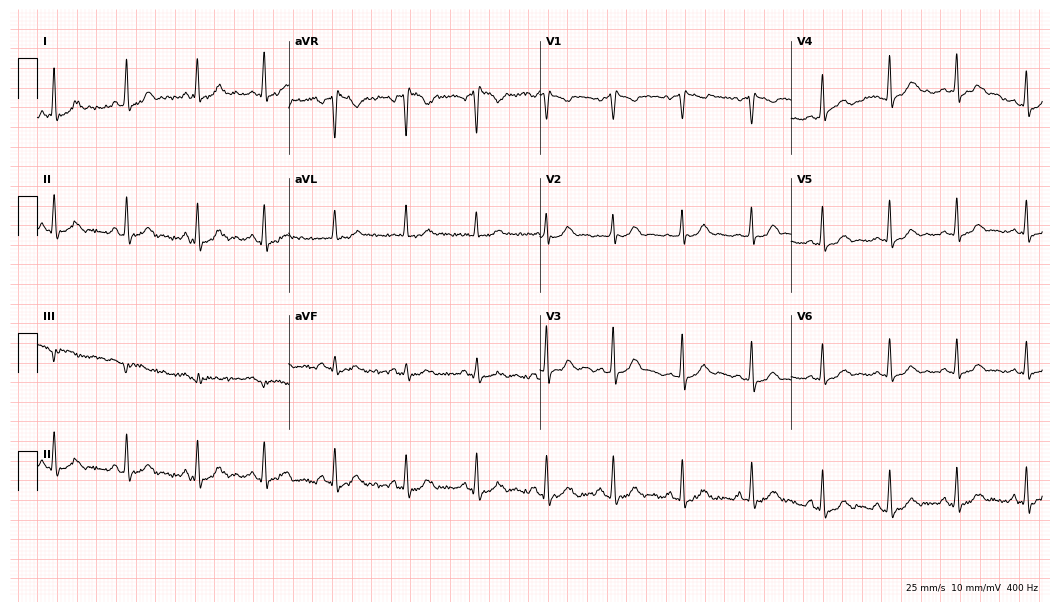
Resting 12-lead electrocardiogram. Patient: a 49-year-old female. None of these six findings is recorded: first-degree AV block, right bundle branch block, left bundle branch block, sinus bradycardia, atrial fibrillation, sinus tachycardia.